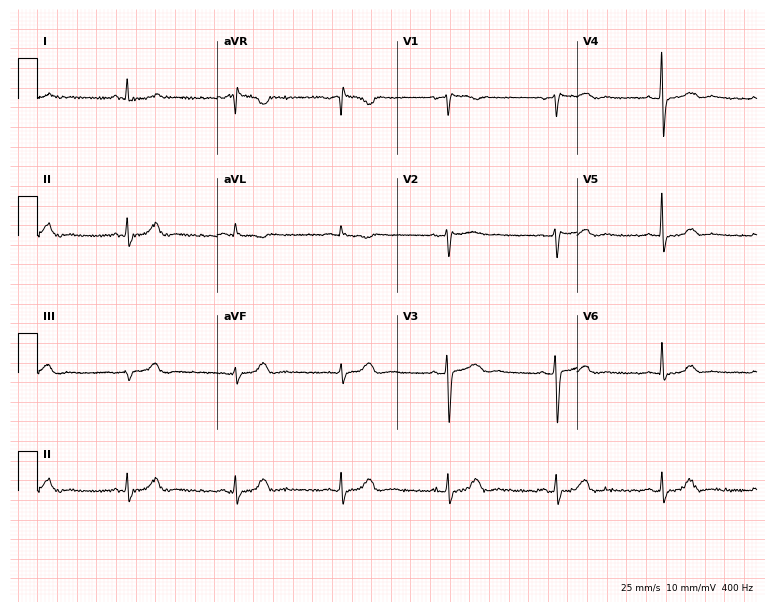
Electrocardiogram (7.3-second recording at 400 Hz), a female, 57 years old. Overall reading on record: normal ECG.